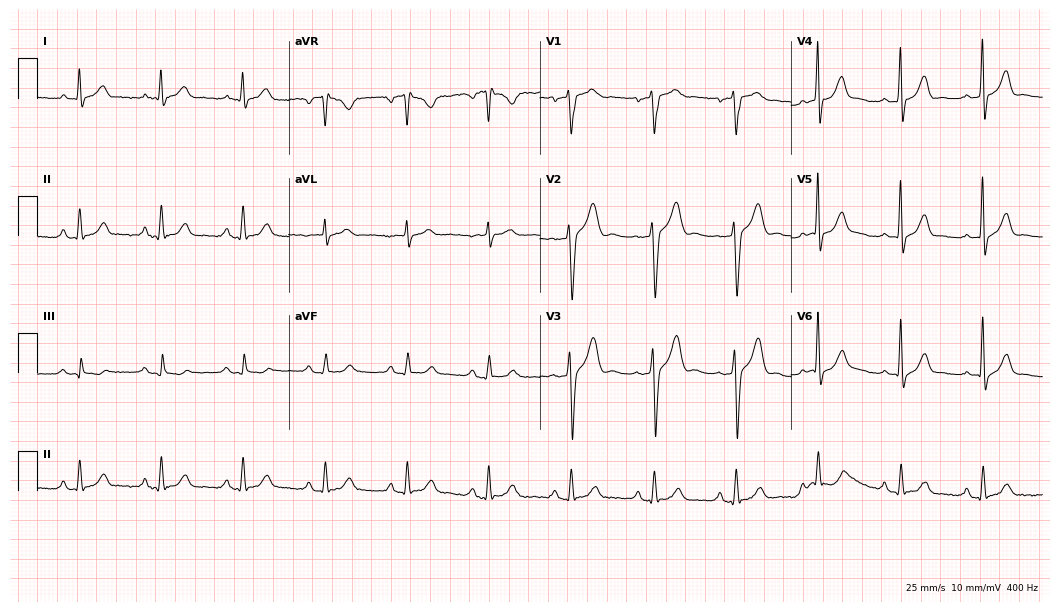
Electrocardiogram (10.2-second recording at 400 Hz), a male patient, 58 years old. Of the six screened findings (first-degree AV block, right bundle branch block, left bundle branch block, sinus bradycardia, atrial fibrillation, sinus tachycardia), none is recorded.